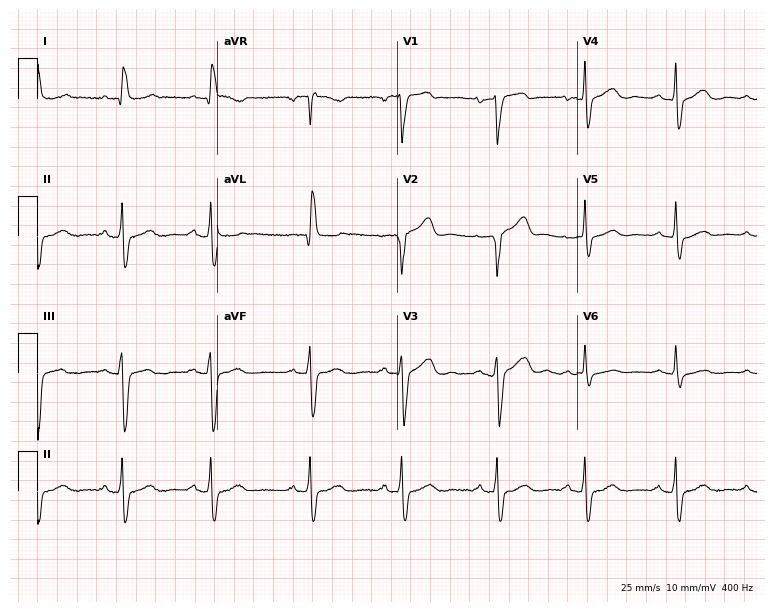
Standard 12-lead ECG recorded from a female patient, 62 years old (7.3-second recording at 400 Hz). The tracing shows sinus bradycardia (a sinus rate of 50 beats per minute or less).